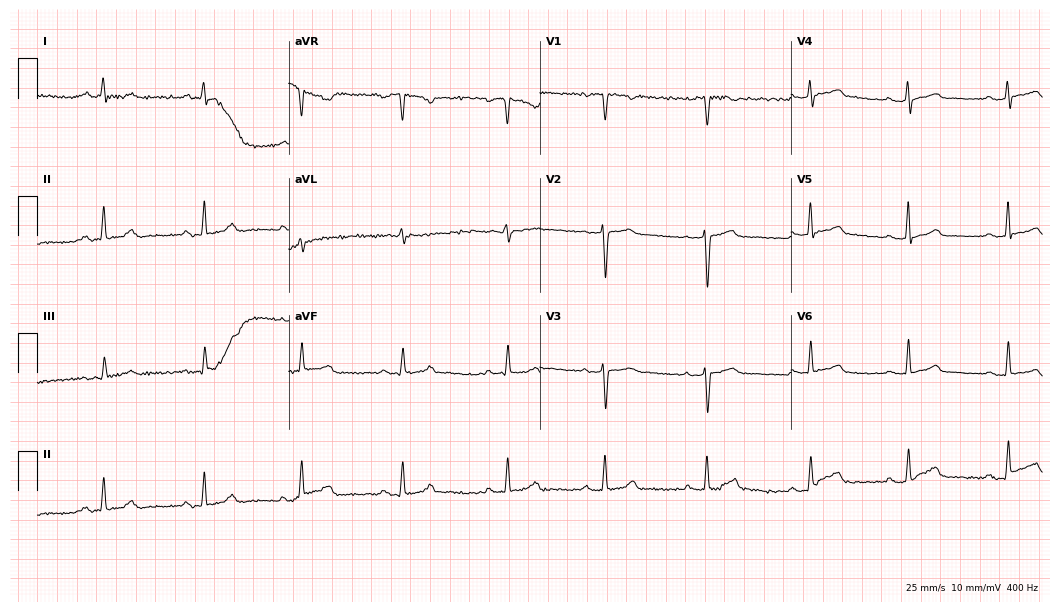
ECG (10.2-second recording at 400 Hz) — a female patient, 33 years old. Findings include first-degree AV block.